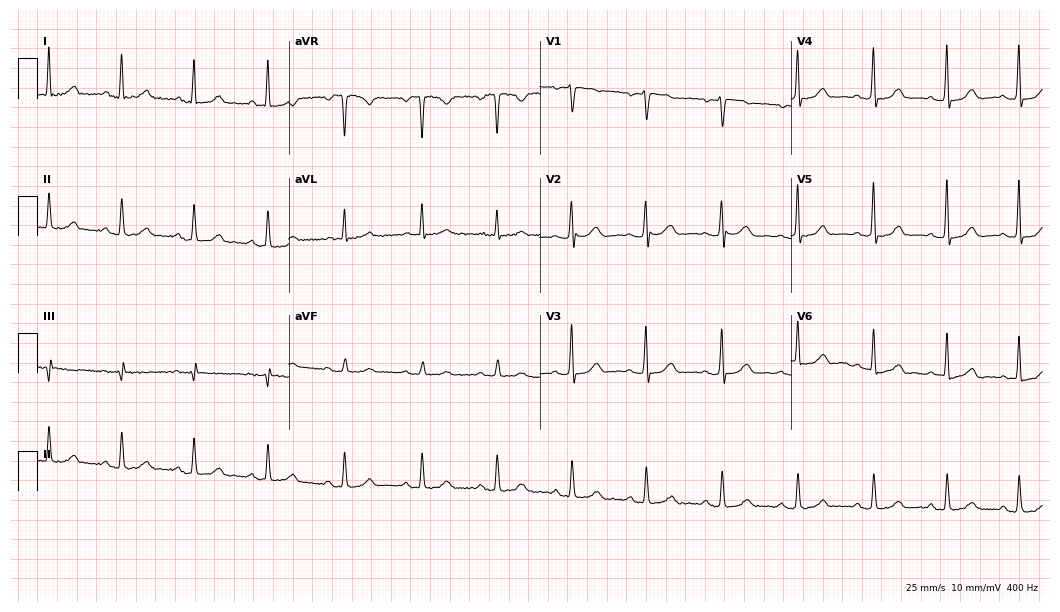
Standard 12-lead ECG recorded from a 51-year-old female. Read as a normal ECG.